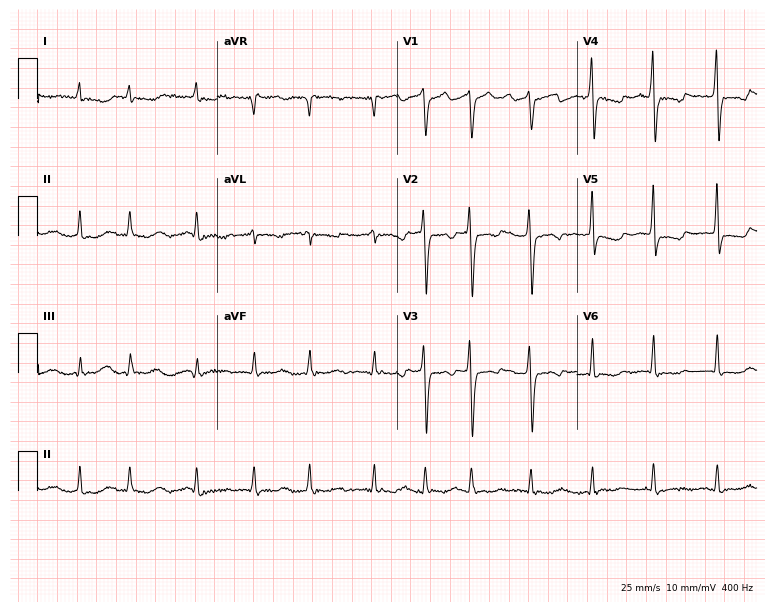
12-lead ECG from a 62-year-old female. Findings include atrial fibrillation.